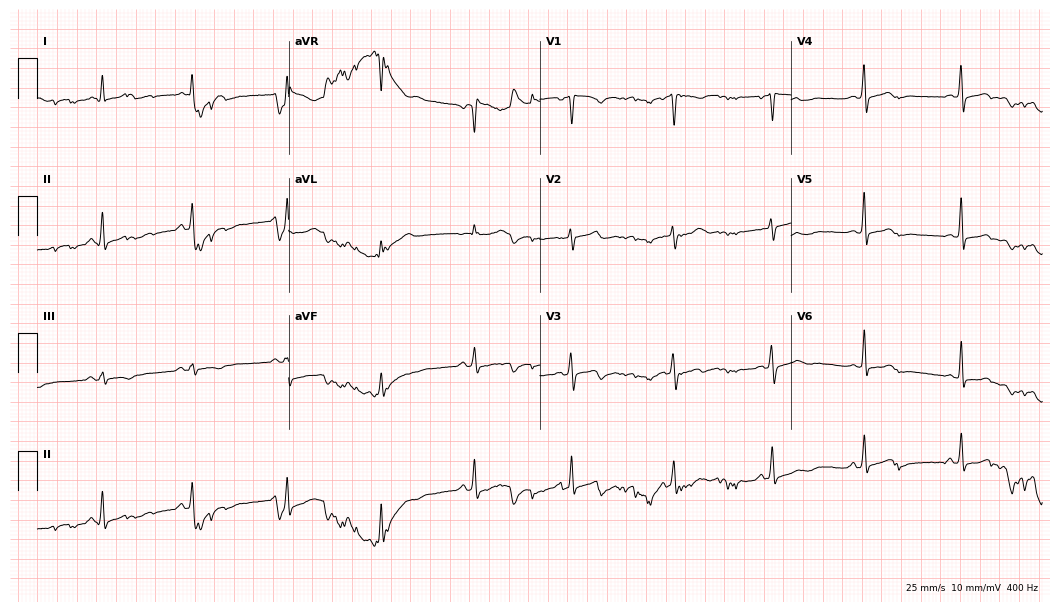
ECG (10.2-second recording at 400 Hz) — a 41-year-old woman. Screened for six findings — first-degree AV block, right bundle branch block, left bundle branch block, sinus bradycardia, atrial fibrillation, sinus tachycardia — none is recorded. Only these six findings were labelled.